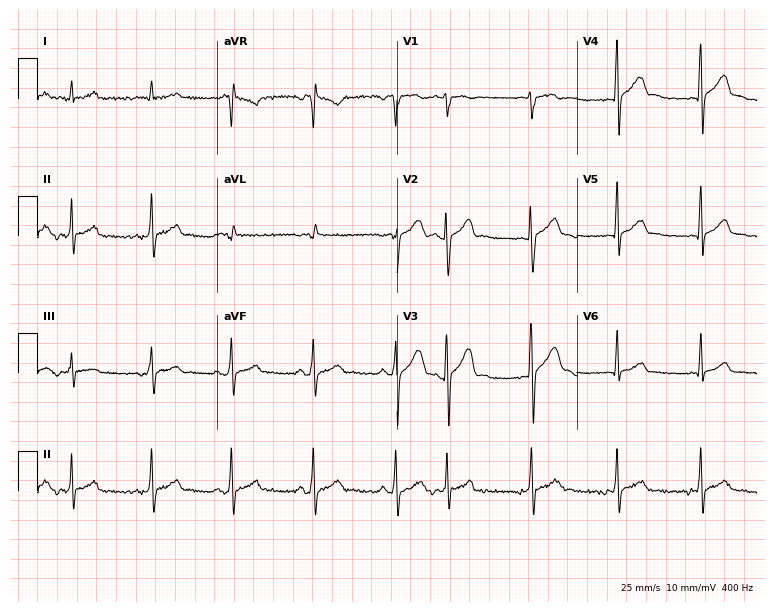
Electrocardiogram, a male patient, 23 years old. Of the six screened findings (first-degree AV block, right bundle branch block, left bundle branch block, sinus bradycardia, atrial fibrillation, sinus tachycardia), none is recorded. Other findings, if any, are not listed.